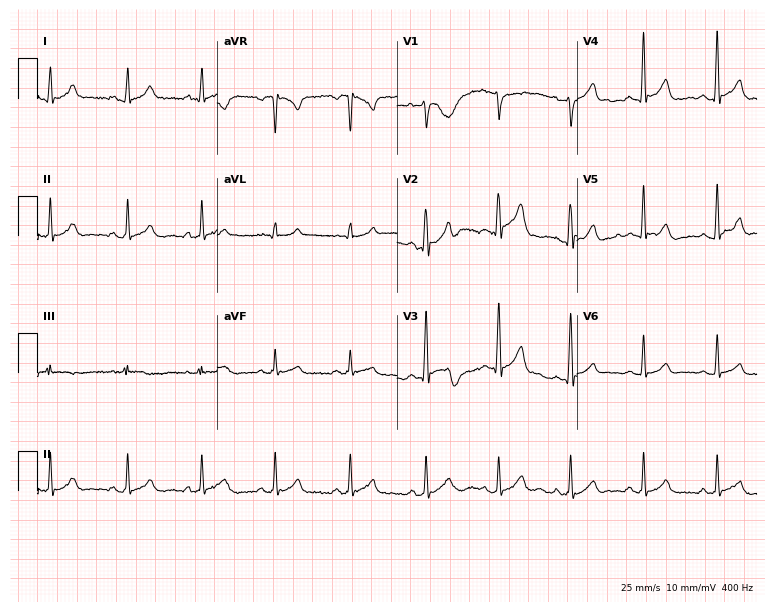
ECG (7.3-second recording at 400 Hz) — a 25-year-old man. Screened for six findings — first-degree AV block, right bundle branch block (RBBB), left bundle branch block (LBBB), sinus bradycardia, atrial fibrillation (AF), sinus tachycardia — none is recorded.